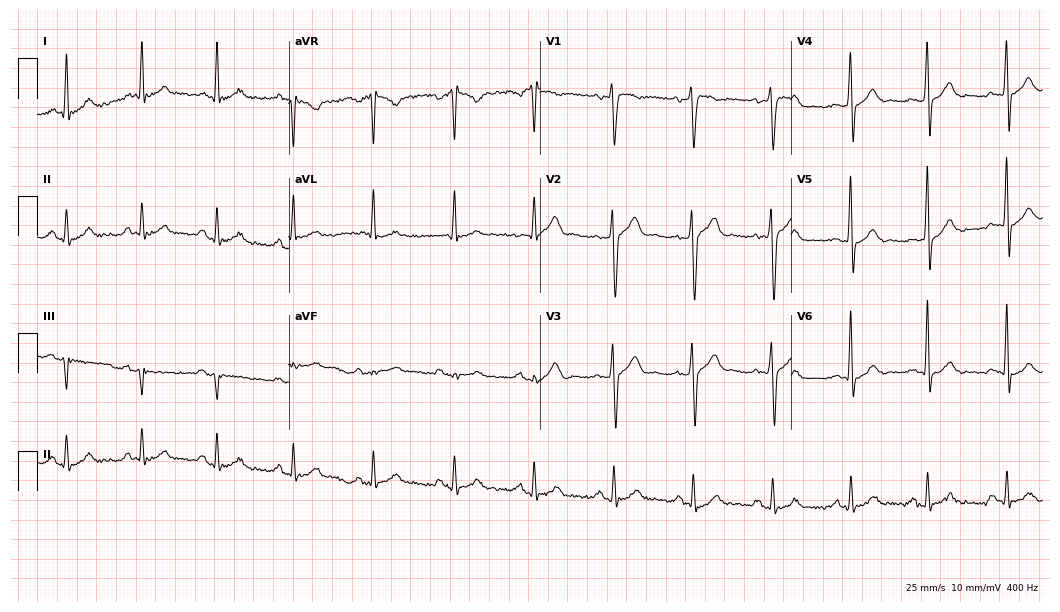
12-lead ECG from a male patient, 50 years old. Labelled as a normal ECG.